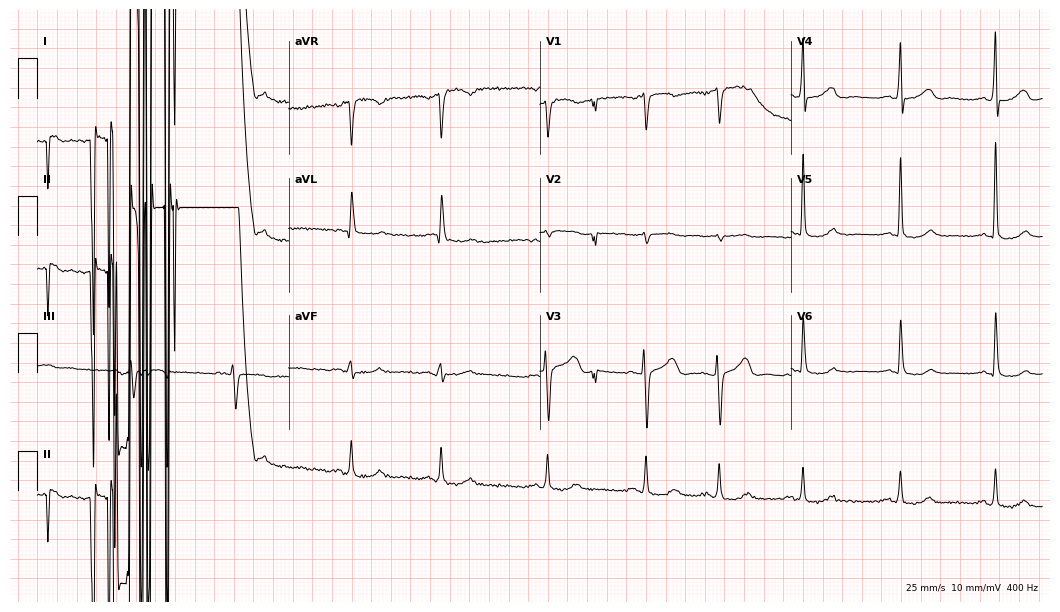
12-lead ECG (10.2-second recording at 400 Hz) from a 77-year-old female. Screened for six findings — first-degree AV block, right bundle branch block (RBBB), left bundle branch block (LBBB), sinus bradycardia, atrial fibrillation (AF), sinus tachycardia — none is recorded. Findings outside these six are not listed.